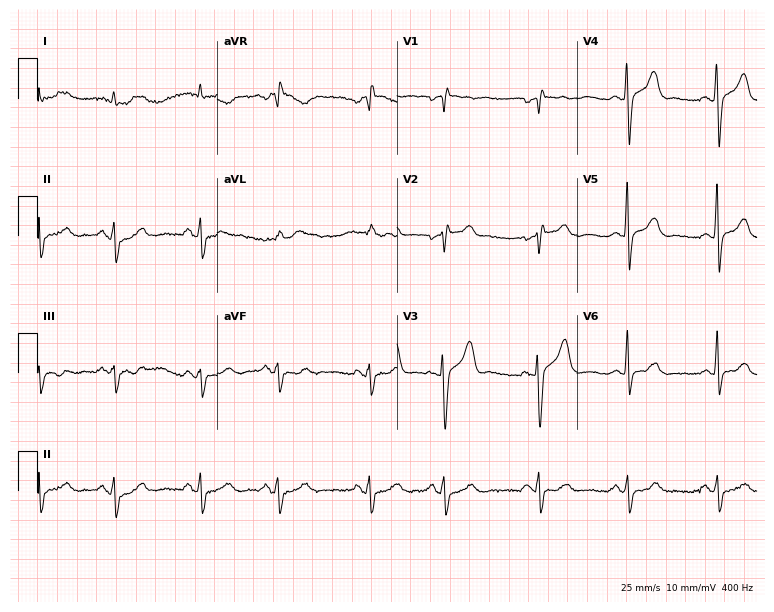
12-lead ECG from a 73-year-old male patient. Screened for six findings — first-degree AV block, right bundle branch block, left bundle branch block, sinus bradycardia, atrial fibrillation, sinus tachycardia — none is recorded.